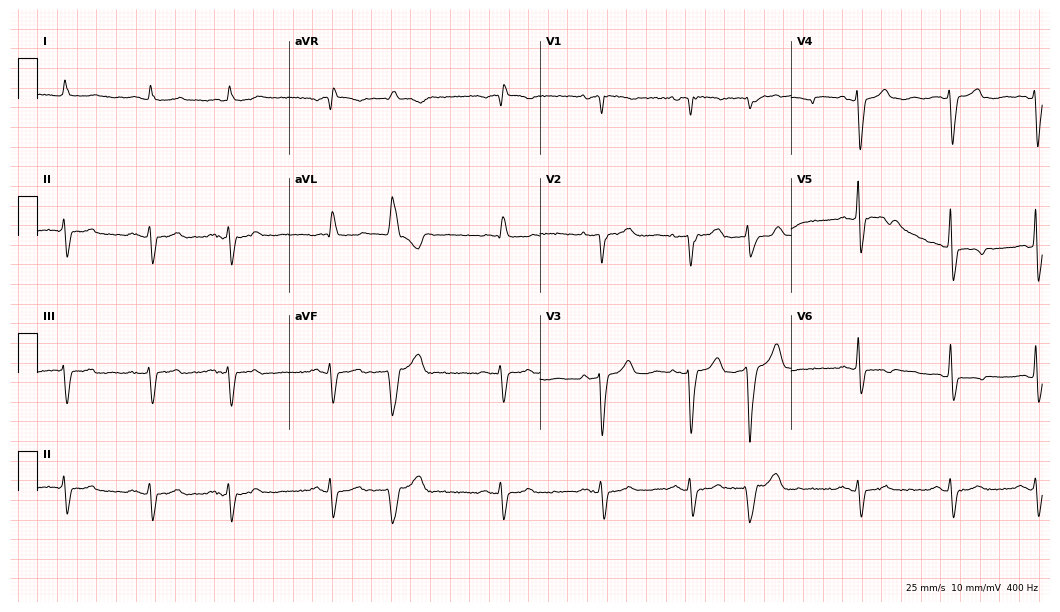
Electrocardiogram, a male patient, 86 years old. Of the six screened findings (first-degree AV block, right bundle branch block, left bundle branch block, sinus bradycardia, atrial fibrillation, sinus tachycardia), none is recorded. Only these six findings were labelled.